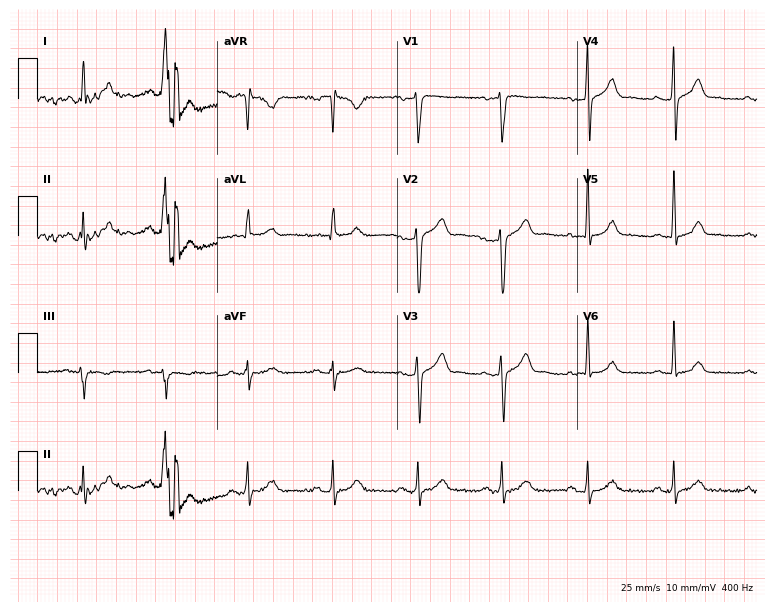
Standard 12-lead ECG recorded from a man, 40 years old. Read as a normal ECG.